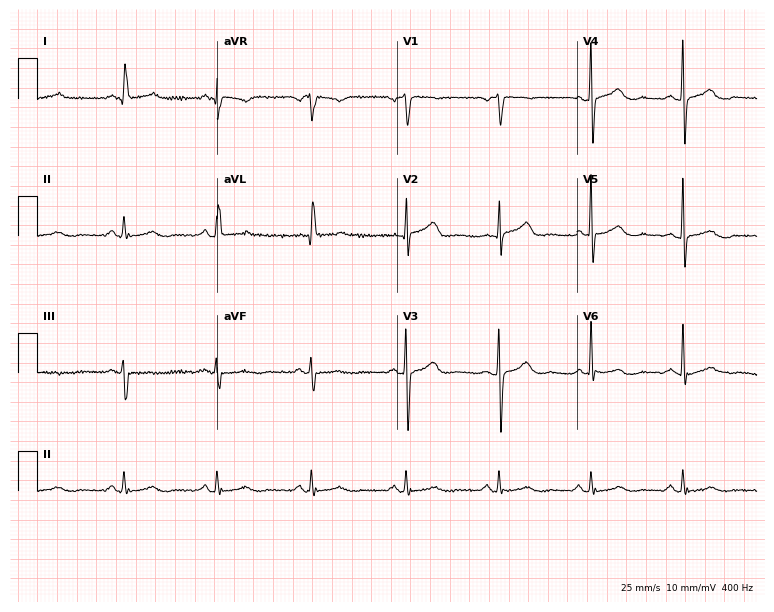
12-lead ECG from a female patient, 73 years old. Recorded interpretation: within normal limits.